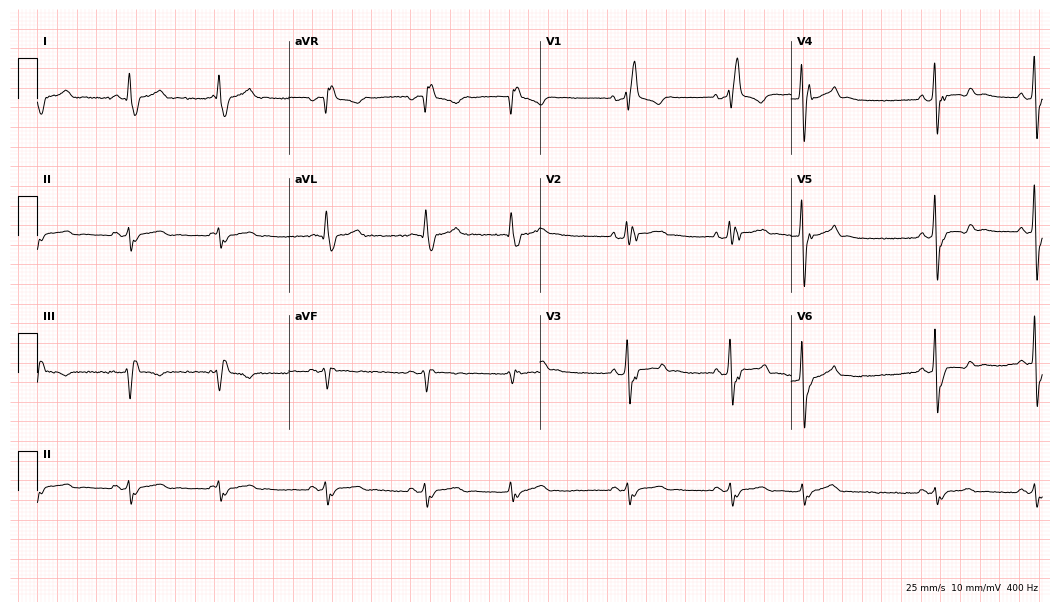
Standard 12-lead ECG recorded from a male patient, 52 years old (10.2-second recording at 400 Hz). The tracing shows right bundle branch block (RBBB).